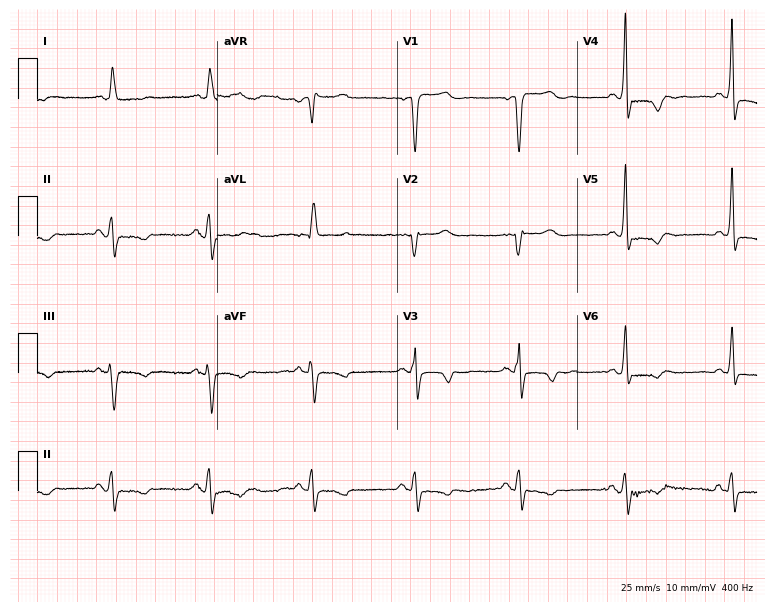
Electrocardiogram, a 59-year-old woman. Of the six screened findings (first-degree AV block, right bundle branch block, left bundle branch block, sinus bradycardia, atrial fibrillation, sinus tachycardia), none is recorded. Other findings, if any, are not listed.